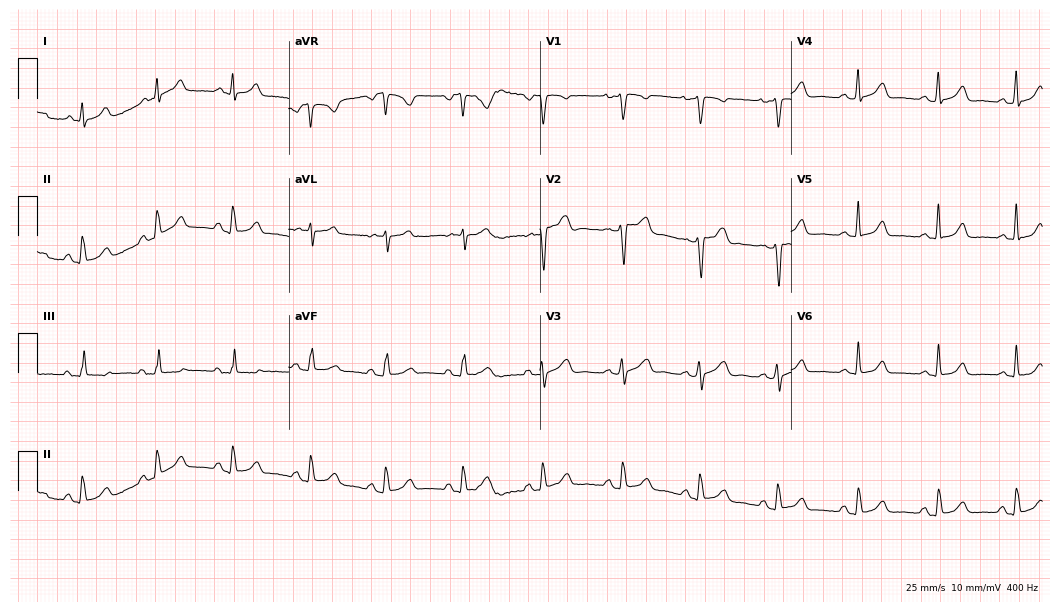
12-lead ECG from a female patient, 26 years old. Recorded interpretation: within normal limits.